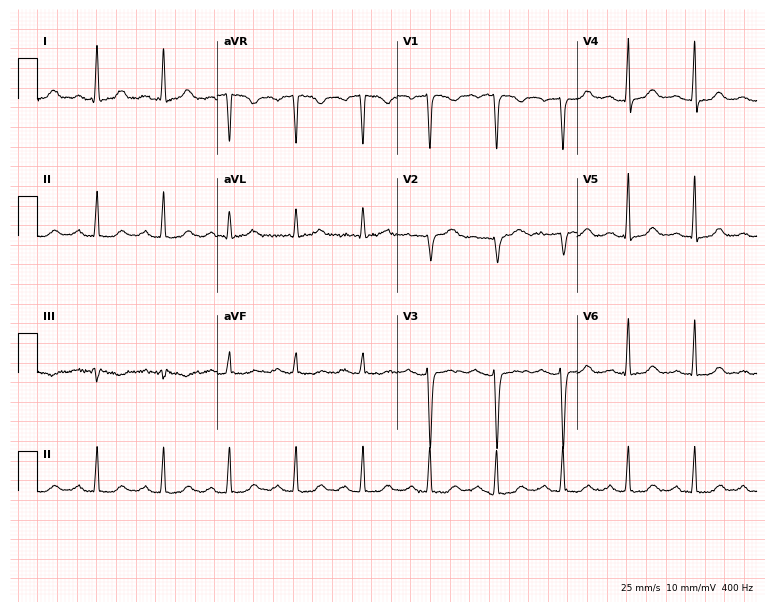
ECG (7.3-second recording at 400 Hz) — a 48-year-old female. Labelled as a normal ECG.